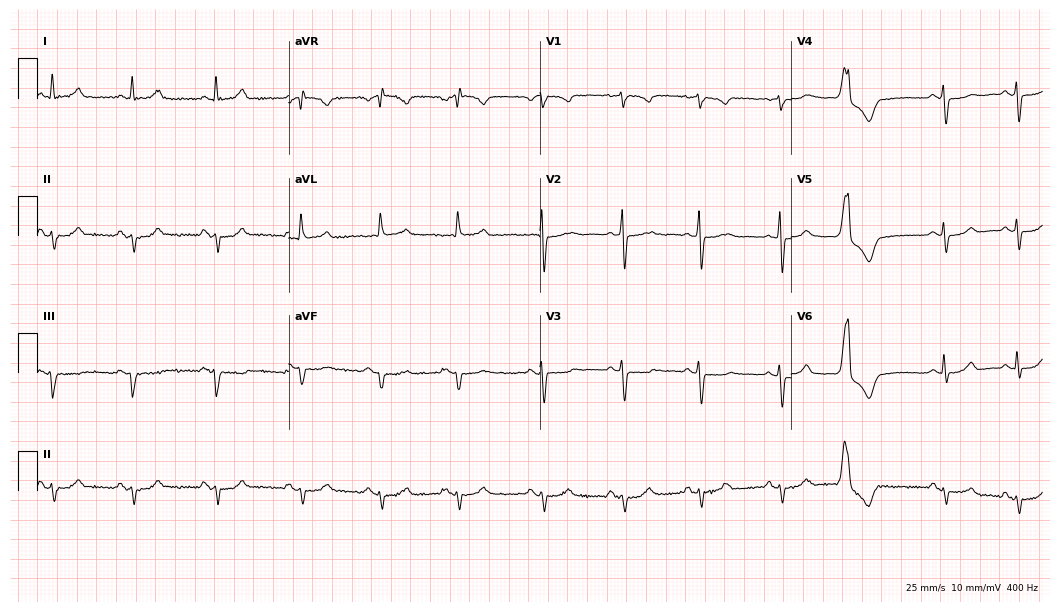
12-lead ECG from a 65-year-old woman (10.2-second recording at 400 Hz). No first-degree AV block, right bundle branch block, left bundle branch block, sinus bradycardia, atrial fibrillation or sinus tachycardia recorded for this tracing.